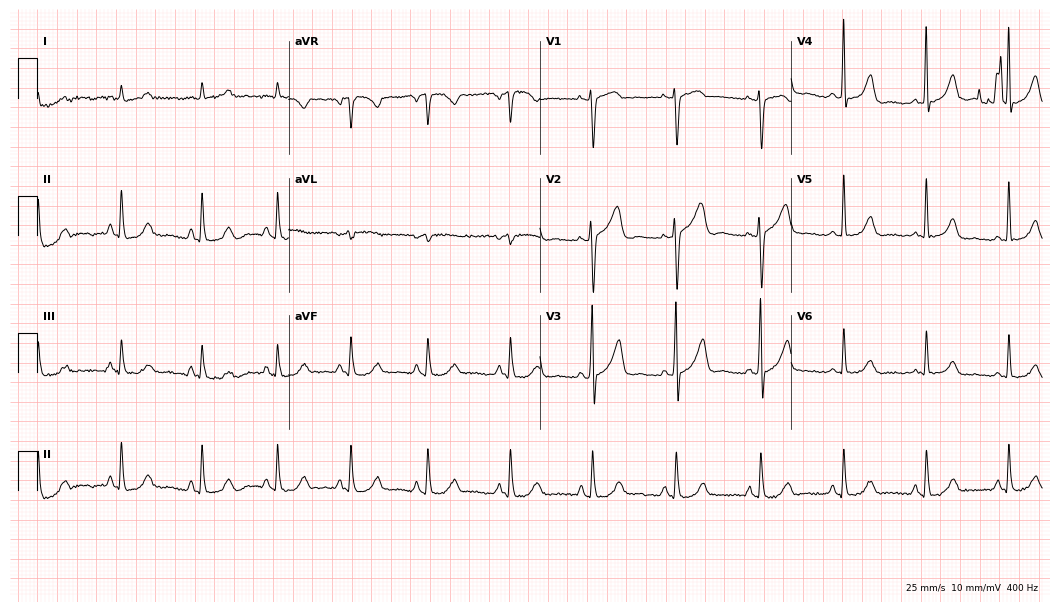
Electrocardiogram (10.2-second recording at 400 Hz), a 53-year-old male patient. Of the six screened findings (first-degree AV block, right bundle branch block (RBBB), left bundle branch block (LBBB), sinus bradycardia, atrial fibrillation (AF), sinus tachycardia), none is recorded. Other findings, if any, are not listed.